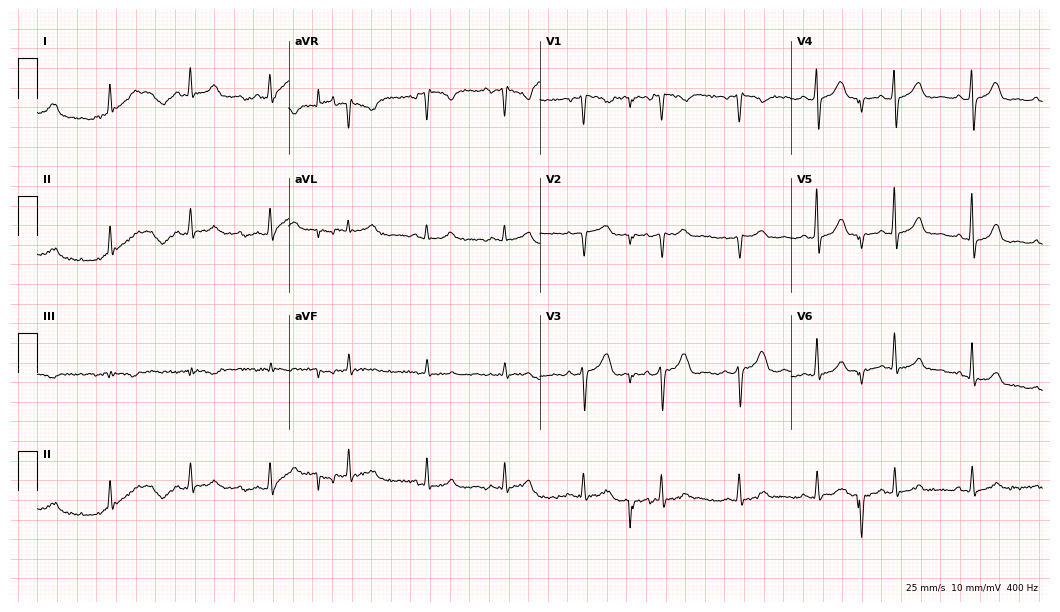
Electrocardiogram (10.2-second recording at 400 Hz), a female, 51 years old. Of the six screened findings (first-degree AV block, right bundle branch block (RBBB), left bundle branch block (LBBB), sinus bradycardia, atrial fibrillation (AF), sinus tachycardia), none is recorded.